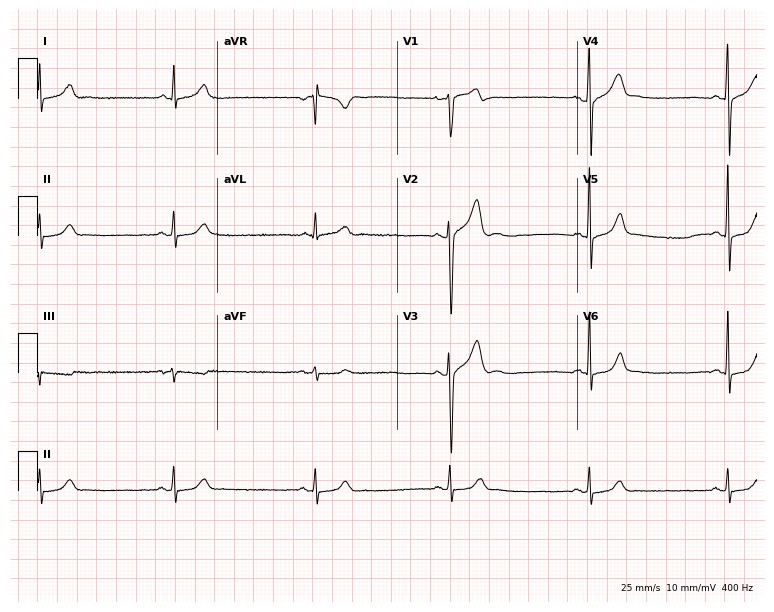
Resting 12-lead electrocardiogram. Patient: a 36-year-old male. The tracing shows sinus bradycardia (a sinus rate of 50 beats per minute or less).